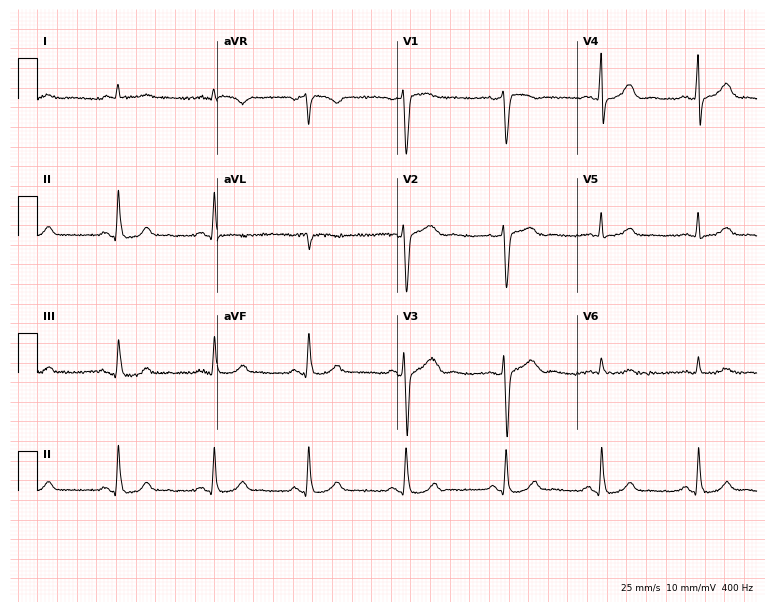
12-lead ECG from a man, 78 years old. Screened for six findings — first-degree AV block, right bundle branch block (RBBB), left bundle branch block (LBBB), sinus bradycardia, atrial fibrillation (AF), sinus tachycardia — none is recorded.